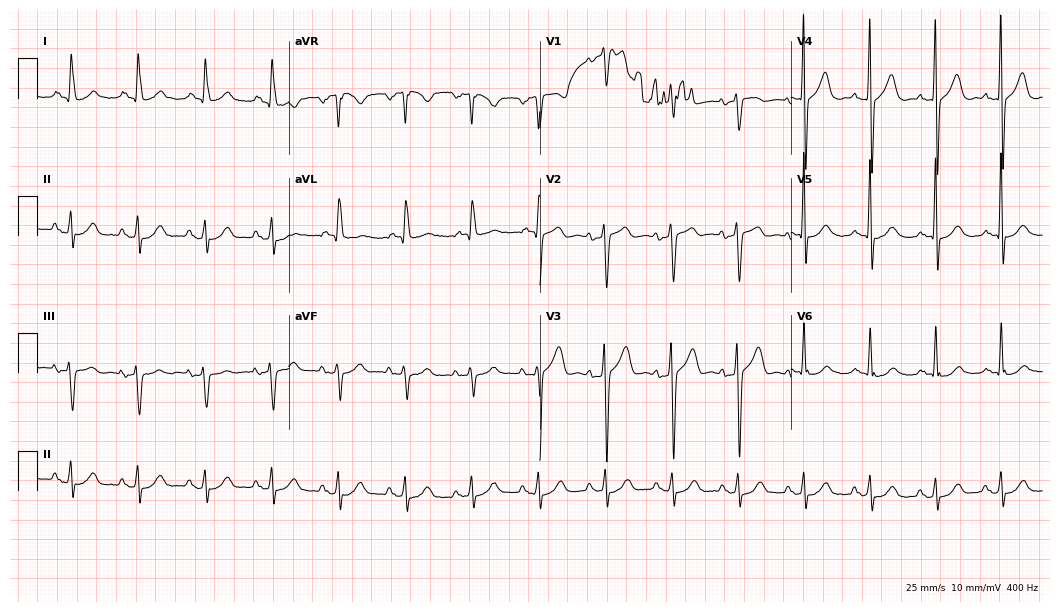
Resting 12-lead electrocardiogram. Patient: a 69-year-old male. None of these six findings is recorded: first-degree AV block, right bundle branch block, left bundle branch block, sinus bradycardia, atrial fibrillation, sinus tachycardia. Only these six findings were labelled.